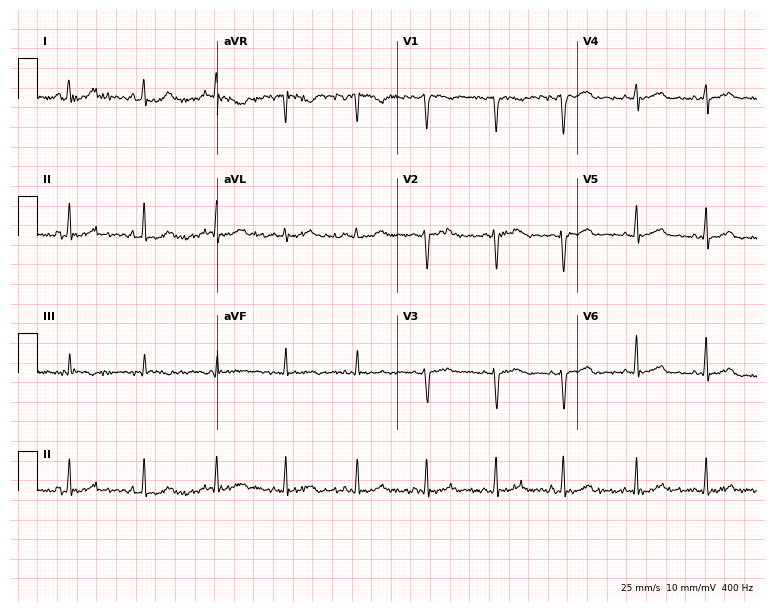
12-lead ECG (7.3-second recording at 400 Hz) from a 34-year-old female. Screened for six findings — first-degree AV block, right bundle branch block, left bundle branch block, sinus bradycardia, atrial fibrillation, sinus tachycardia — none is recorded.